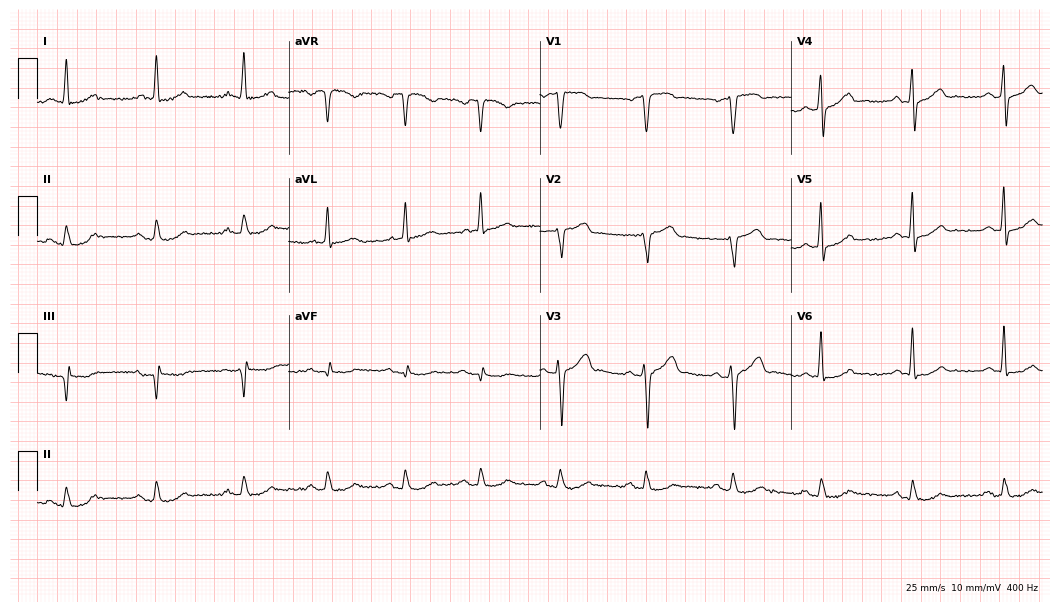
ECG — a male, 60 years old. Screened for six findings — first-degree AV block, right bundle branch block, left bundle branch block, sinus bradycardia, atrial fibrillation, sinus tachycardia — none is recorded. Findings outside these six are not listed.